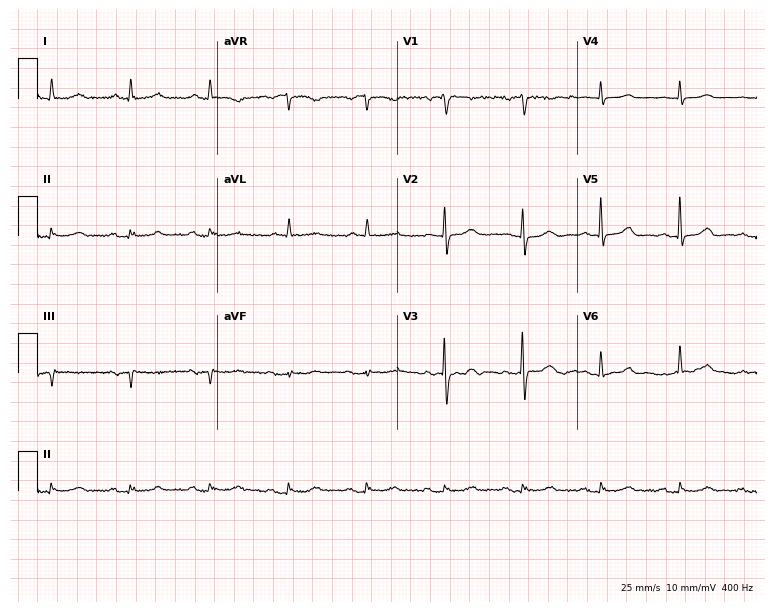
12-lead ECG from a female, 82 years old. No first-degree AV block, right bundle branch block, left bundle branch block, sinus bradycardia, atrial fibrillation or sinus tachycardia recorded for this tracing. Findings outside these six are not listed.